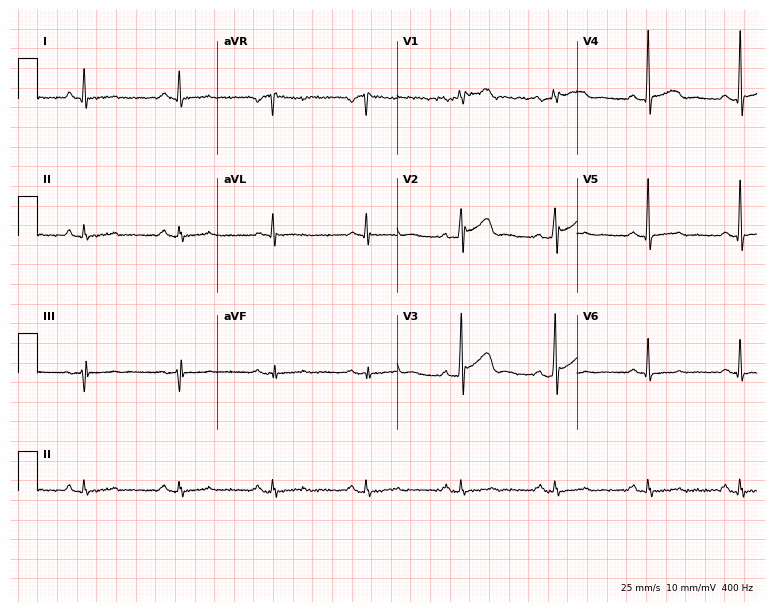
Electrocardiogram, a male, 55 years old. Overall reading on record: normal ECG.